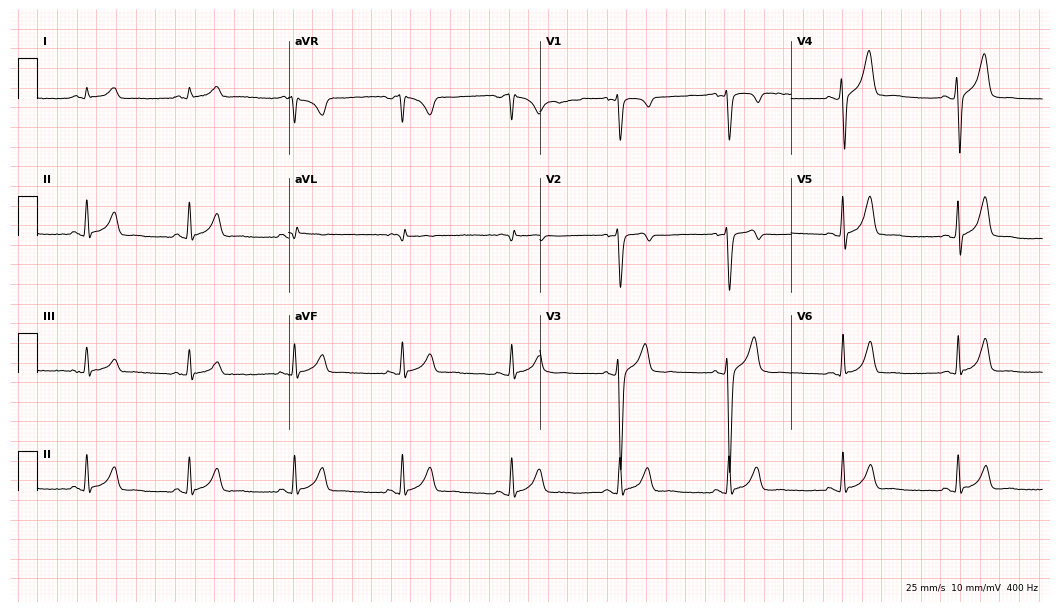
Electrocardiogram (10.2-second recording at 400 Hz), a 42-year-old male. Overall reading on record: normal ECG.